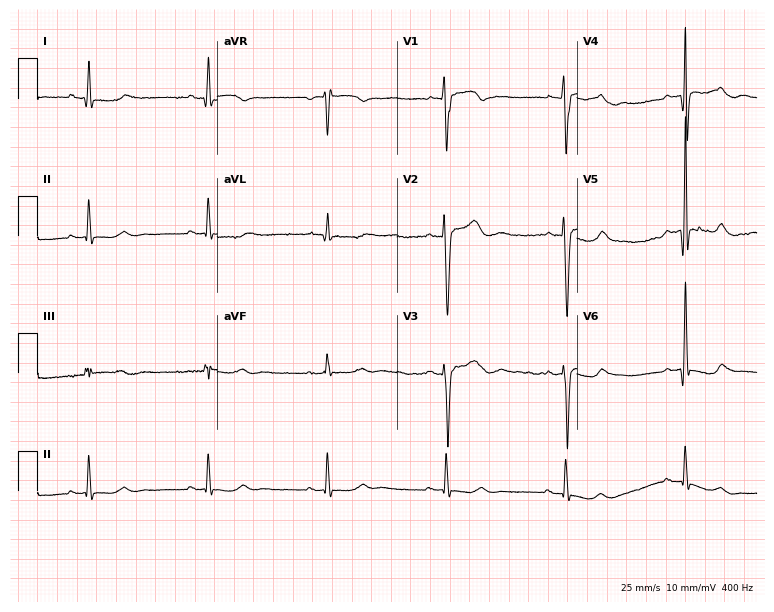
ECG (7.3-second recording at 400 Hz) — a 60-year-old man. Screened for six findings — first-degree AV block, right bundle branch block, left bundle branch block, sinus bradycardia, atrial fibrillation, sinus tachycardia — none is recorded. Other findings, if any, are not listed.